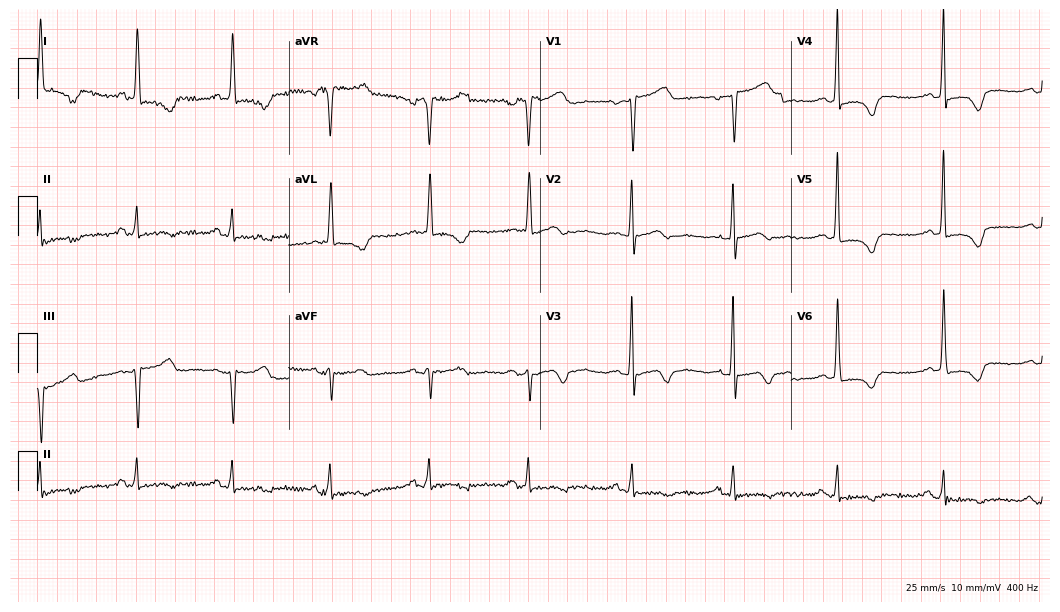
Resting 12-lead electrocardiogram. Patient: a woman, 62 years old. None of these six findings is recorded: first-degree AV block, right bundle branch block (RBBB), left bundle branch block (LBBB), sinus bradycardia, atrial fibrillation (AF), sinus tachycardia. Only these six findings were labelled.